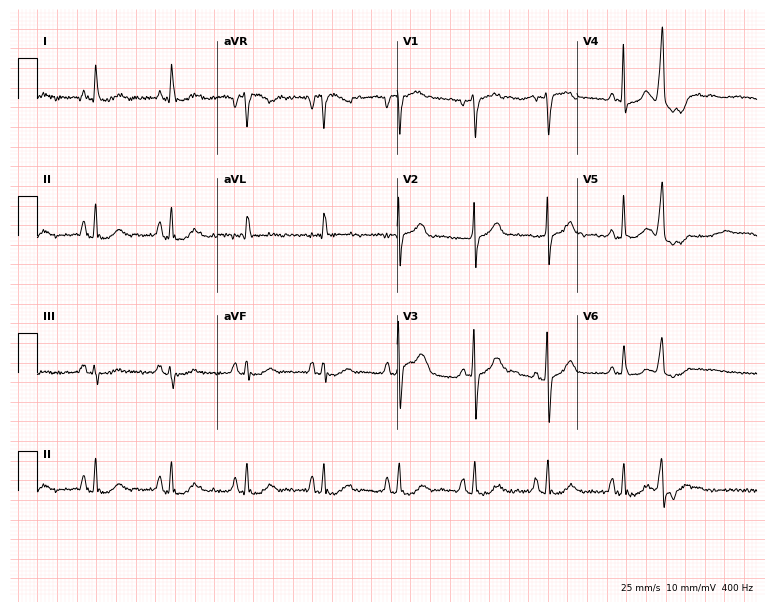
Resting 12-lead electrocardiogram (7.3-second recording at 400 Hz). Patient: a man, 76 years old. Read as a normal ECG.